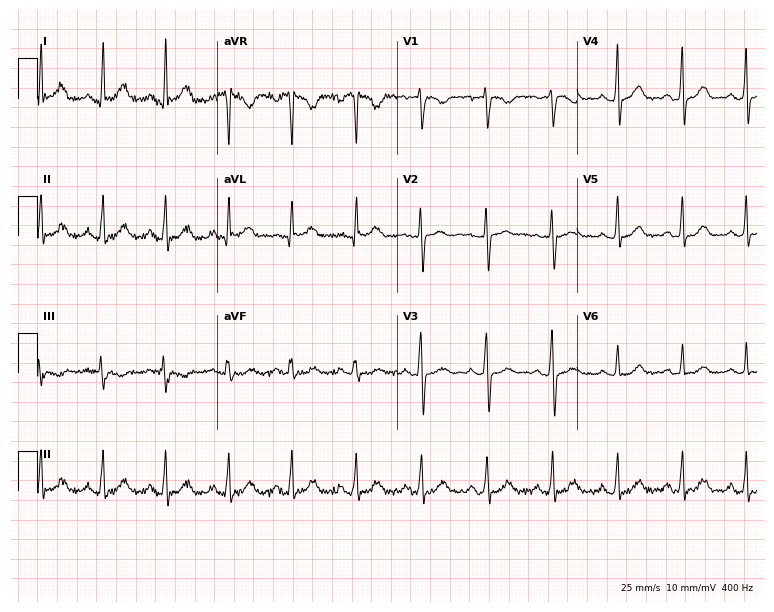
Resting 12-lead electrocardiogram (7.3-second recording at 400 Hz). Patient: a female, 45 years old. None of these six findings is recorded: first-degree AV block, right bundle branch block (RBBB), left bundle branch block (LBBB), sinus bradycardia, atrial fibrillation (AF), sinus tachycardia.